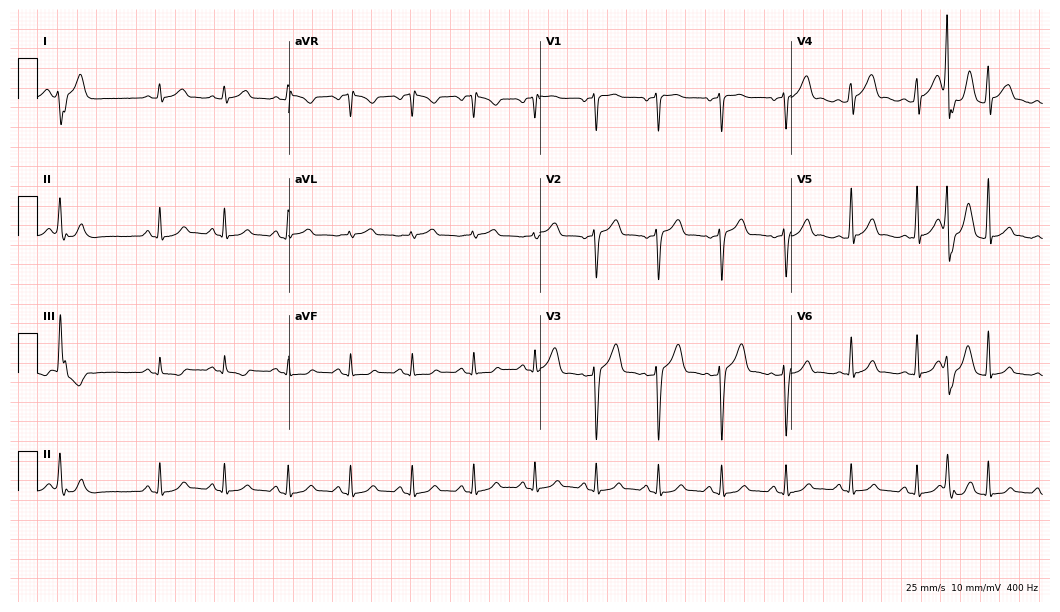
Electrocardiogram (10.2-second recording at 400 Hz), a male, 56 years old. Of the six screened findings (first-degree AV block, right bundle branch block, left bundle branch block, sinus bradycardia, atrial fibrillation, sinus tachycardia), none is recorded.